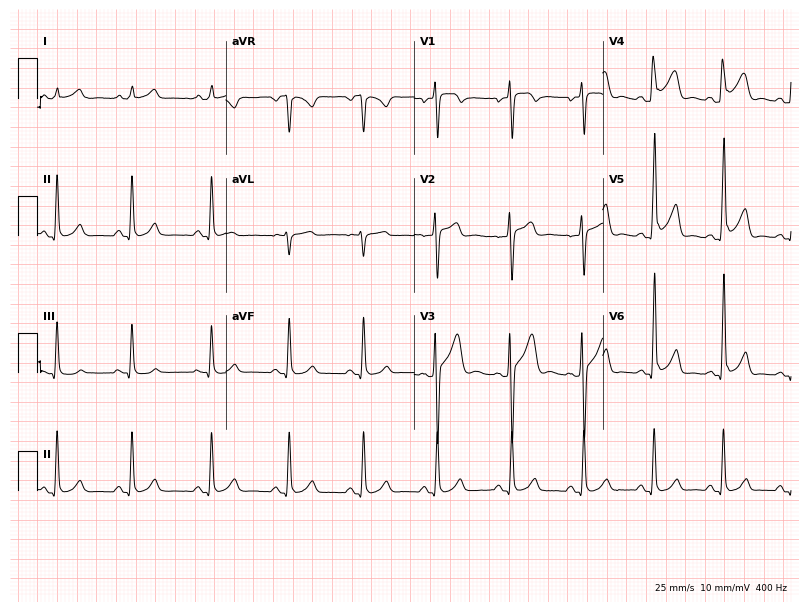
12-lead ECG from a man, 19 years old (7.7-second recording at 400 Hz). No first-degree AV block, right bundle branch block (RBBB), left bundle branch block (LBBB), sinus bradycardia, atrial fibrillation (AF) or sinus tachycardia recorded for this tracing. Only these six findings were labelled.